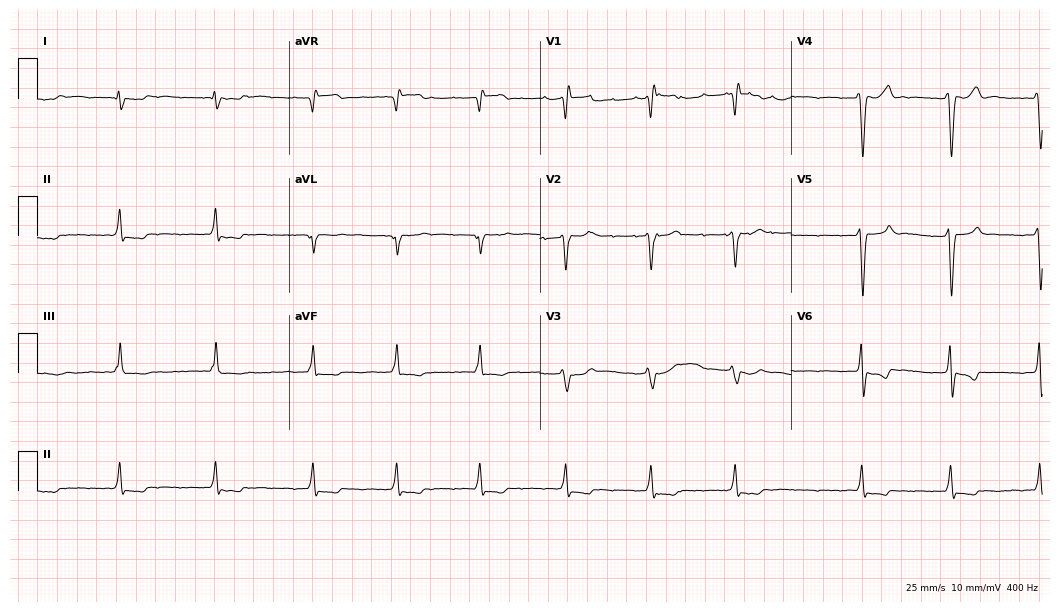
Standard 12-lead ECG recorded from a male patient, 71 years old (10.2-second recording at 400 Hz). The tracing shows atrial fibrillation (AF).